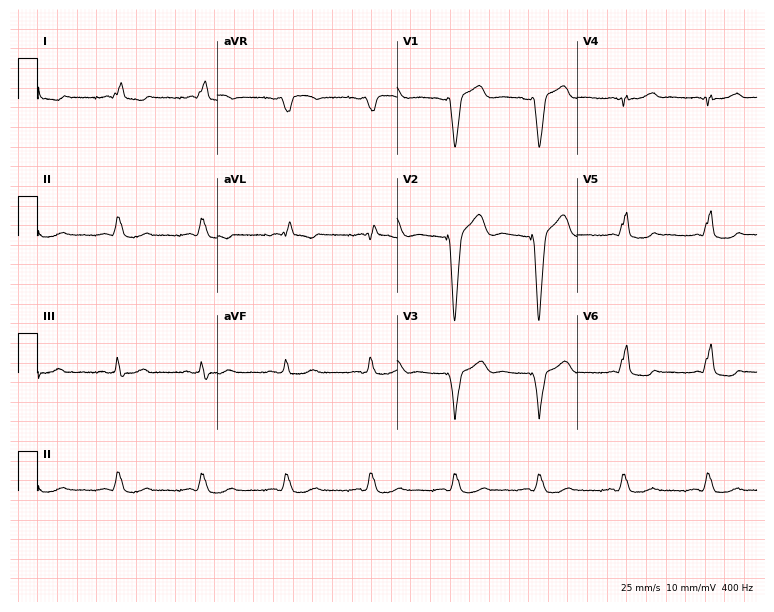
12-lead ECG from a 64-year-old female (7.3-second recording at 400 Hz). Shows left bundle branch block.